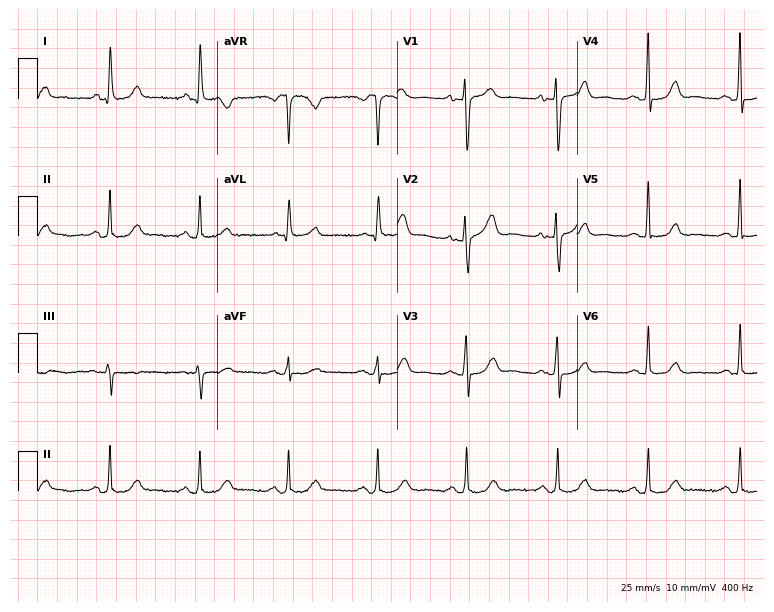
Standard 12-lead ECG recorded from a female, 62 years old (7.3-second recording at 400 Hz). Read as a normal ECG.